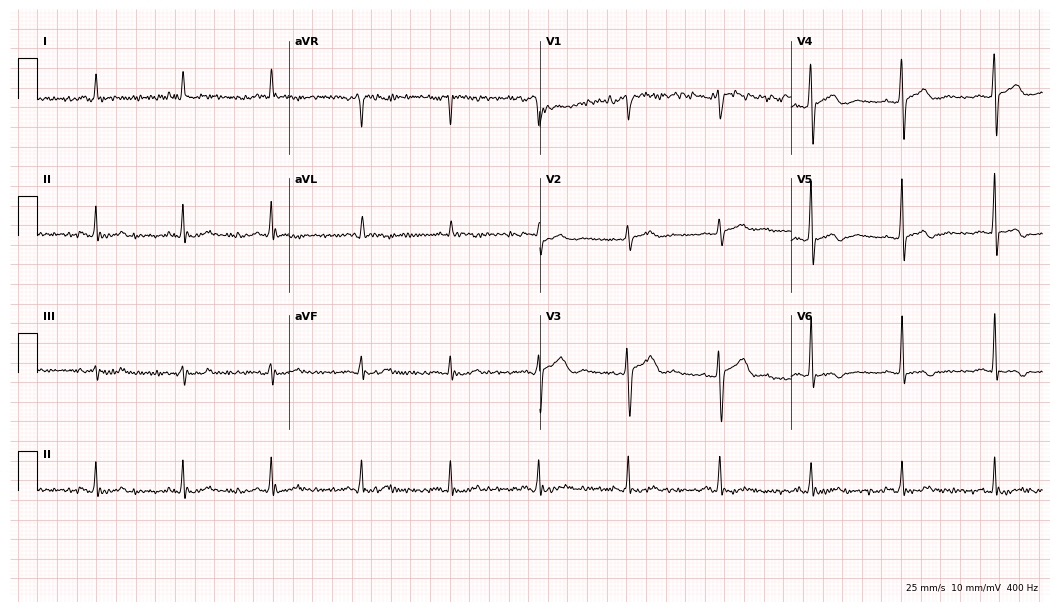
12-lead ECG from a male patient, 69 years old (10.2-second recording at 400 Hz). No first-degree AV block, right bundle branch block, left bundle branch block, sinus bradycardia, atrial fibrillation or sinus tachycardia recorded for this tracing. Only these six findings were labelled.